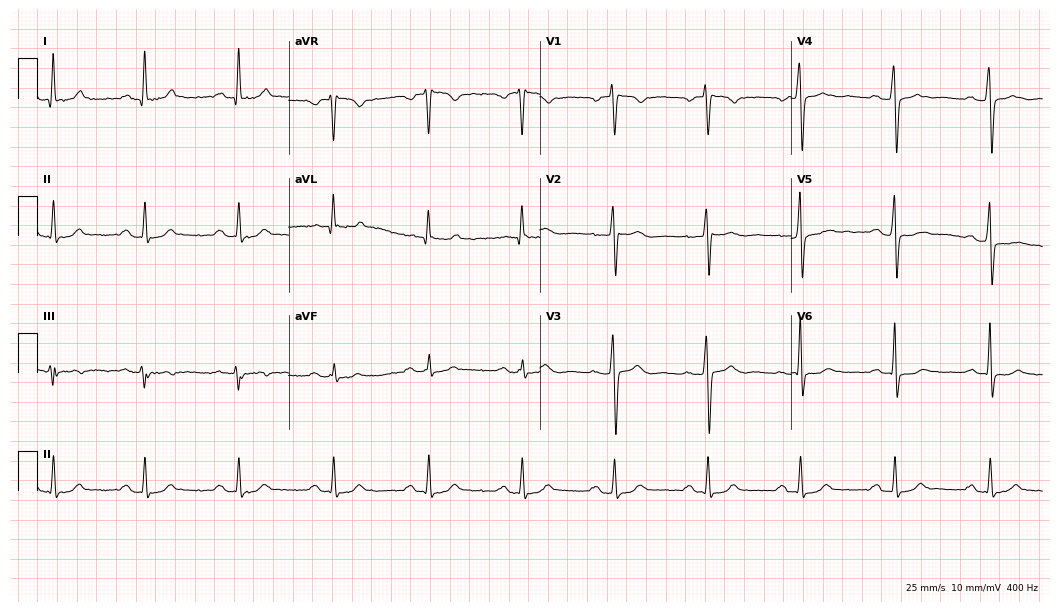
Standard 12-lead ECG recorded from a male, 54 years old (10.2-second recording at 400 Hz). None of these six findings is recorded: first-degree AV block, right bundle branch block, left bundle branch block, sinus bradycardia, atrial fibrillation, sinus tachycardia. Findings outside these six are not listed.